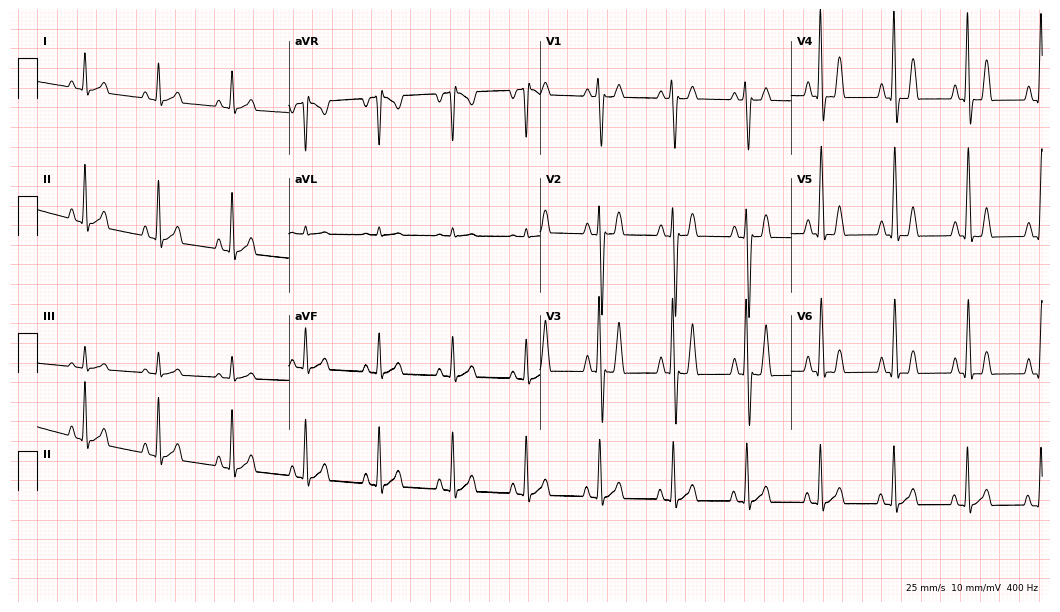
12-lead ECG from a 30-year-old female. Recorded interpretation: within normal limits.